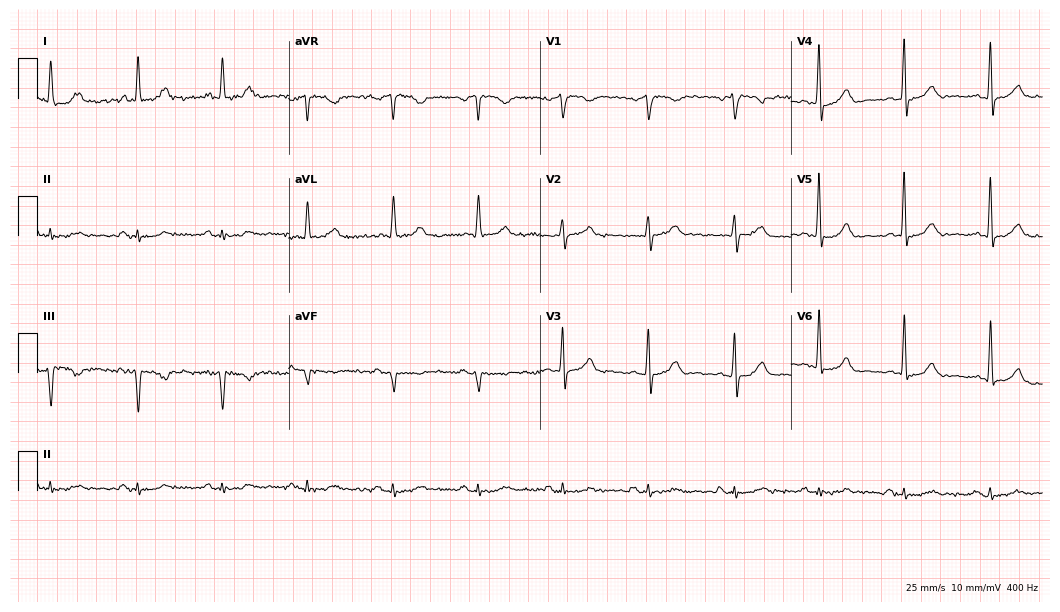
Electrocardiogram, a male, 71 years old. Overall reading on record: normal ECG.